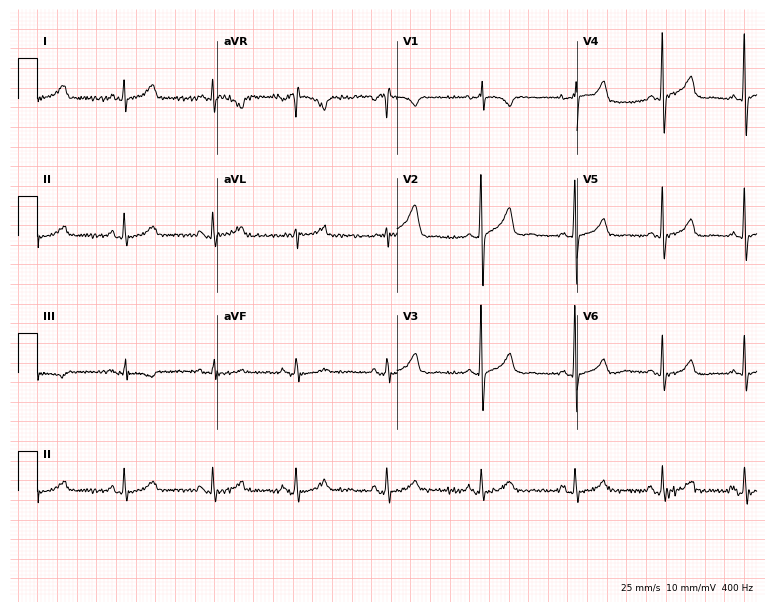
12-lead ECG (7.3-second recording at 400 Hz) from a 59-year-old female. Screened for six findings — first-degree AV block, right bundle branch block (RBBB), left bundle branch block (LBBB), sinus bradycardia, atrial fibrillation (AF), sinus tachycardia — none is recorded. Findings outside these six are not listed.